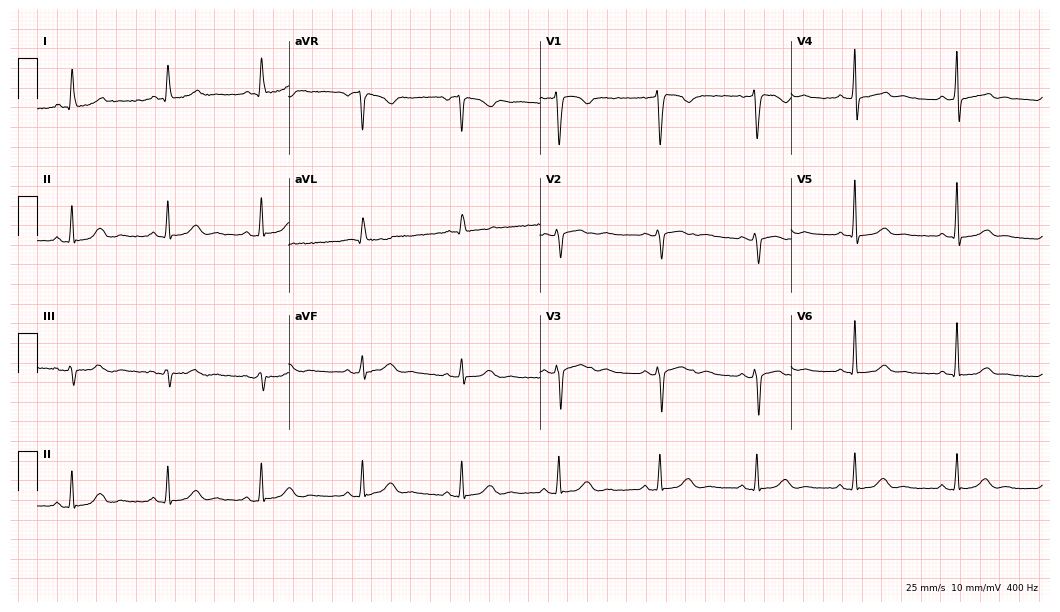
ECG — a 36-year-old woman. Labelled as a normal ECG.